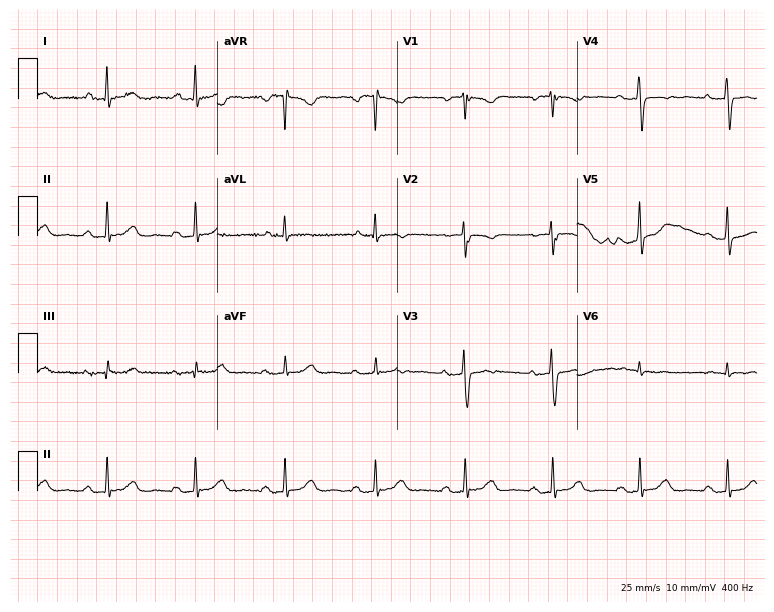
12-lead ECG from a female patient, 66 years old. Labelled as a normal ECG.